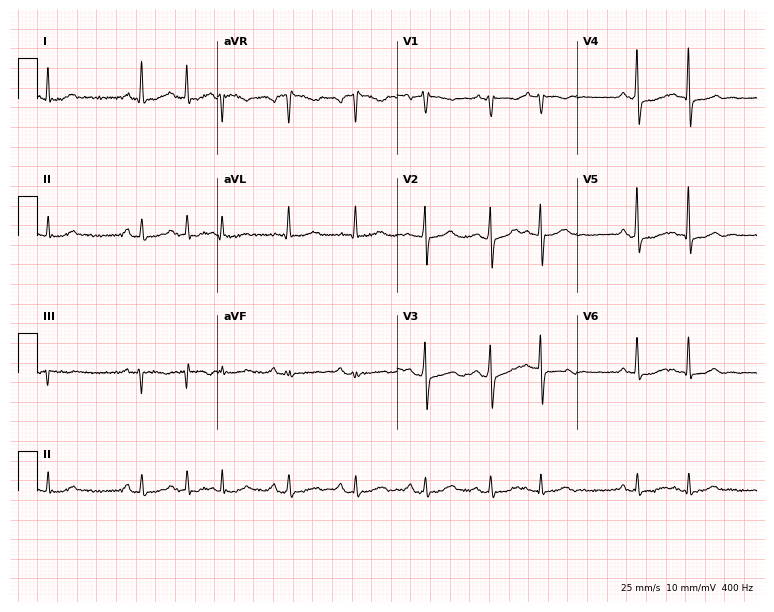
12-lead ECG from a man, 76 years old (7.3-second recording at 400 Hz). Recorded interpretation: within normal limits.